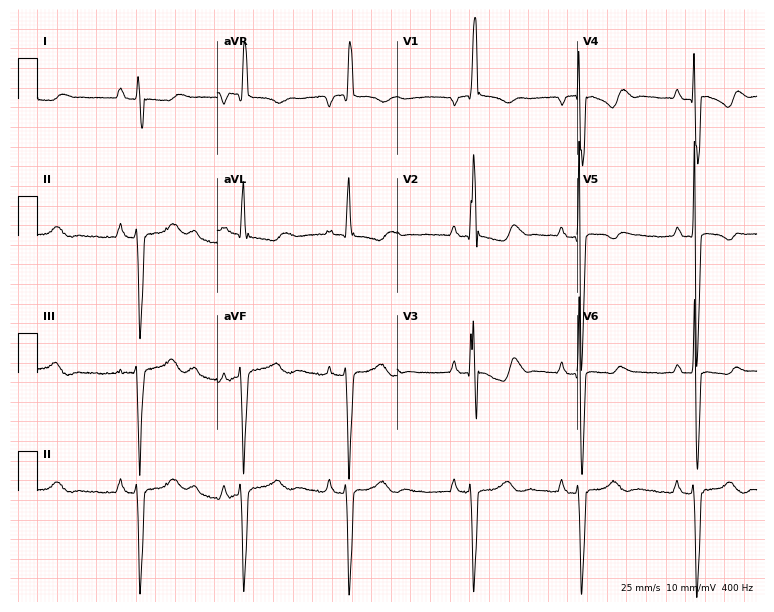
Resting 12-lead electrocardiogram. Patient: a female, 21 years old. None of these six findings is recorded: first-degree AV block, right bundle branch block, left bundle branch block, sinus bradycardia, atrial fibrillation, sinus tachycardia. Only these six findings were labelled.